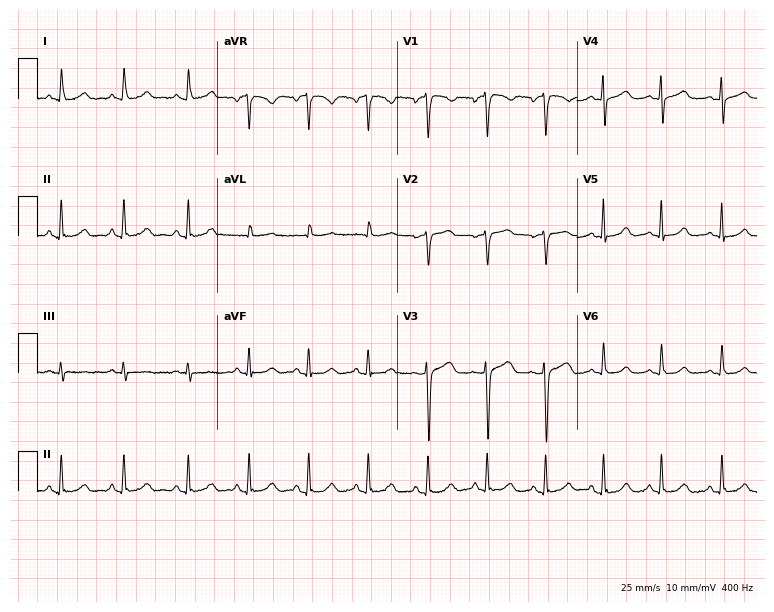
Resting 12-lead electrocardiogram (7.3-second recording at 400 Hz). Patient: a female, 46 years old. None of these six findings is recorded: first-degree AV block, right bundle branch block, left bundle branch block, sinus bradycardia, atrial fibrillation, sinus tachycardia. Other findings, if any, are not listed.